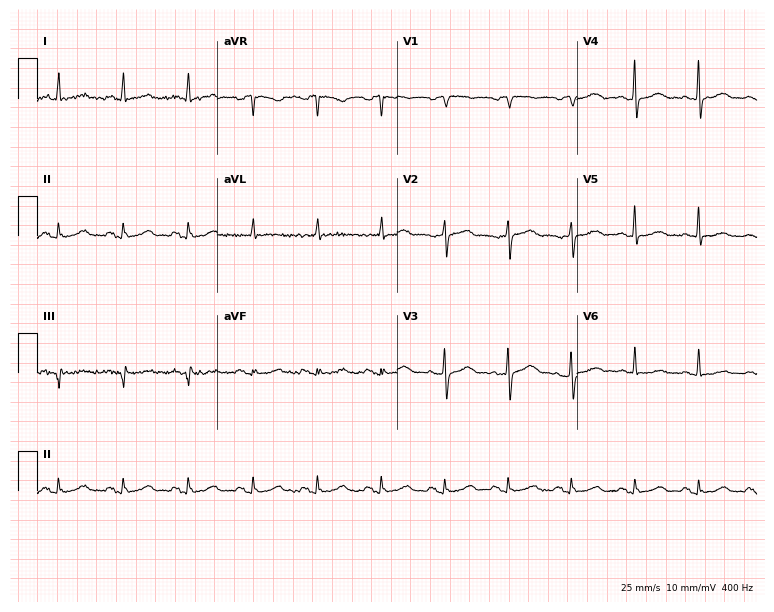
ECG — a female patient, 67 years old. Screened for six findings — first-degree AV block, right bundle branch block, left bundle branch block, sinus bradycardia, atrial fibrillation, sinus tachycardia — none is recorded.